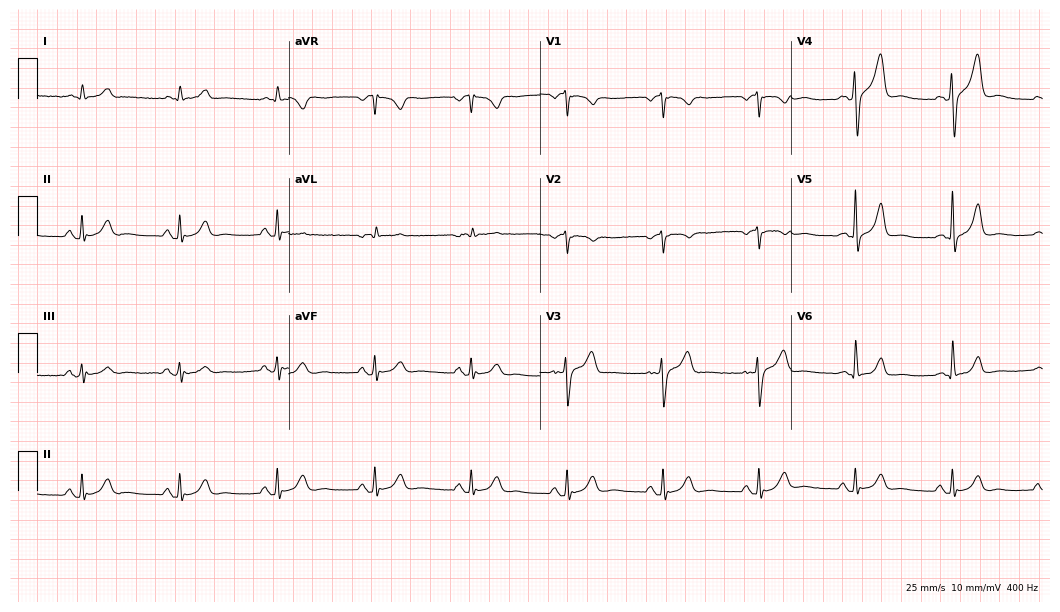
ECG — a man, 60 years old. Screened for six findings — first-degree AV block, right bundle branch block (RBBB), left bundle branch block (LBBB), sinus bradycardia, atrial fibrillation (AF), sinus tachycardia — none is recorded. Only these six findings were labelled.